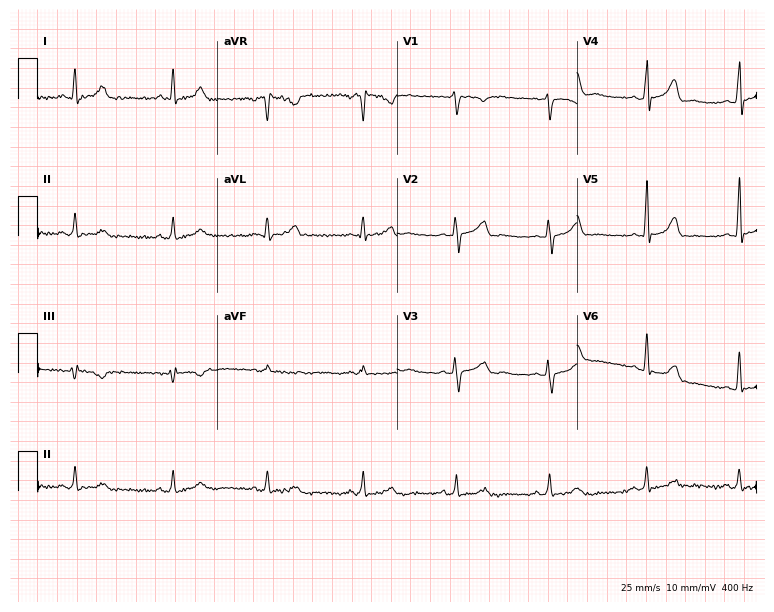
Resting 12-lead electrocardiogram (7.3-second recording at 400 Hz). Patient: a woman, 48 years old. None of these six findings is recorded: first-degree AV block, right bundle branch block, left bundle branch block, sinus bradycardia, atrial fibrillation, sinus tachycardia.